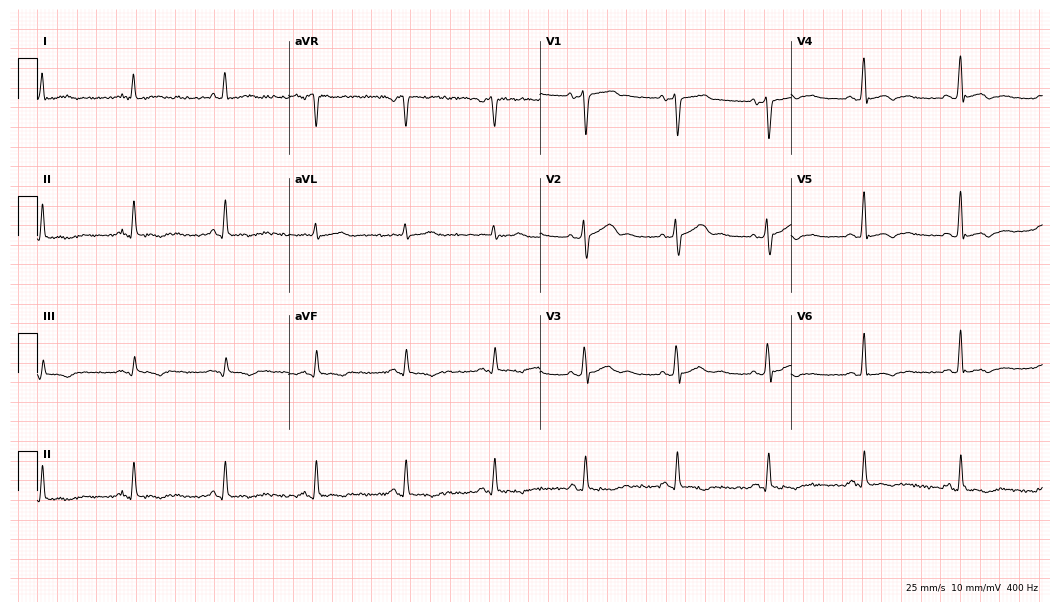
Resting 12-lead electrocardiogram. Patient: a 53-year-old man. None of these six findings is recorded: first-degree AV block, right bundle branch block, left bundle branch block, sinus bradycardia, atrial fibrillation, sinus tachycardia.